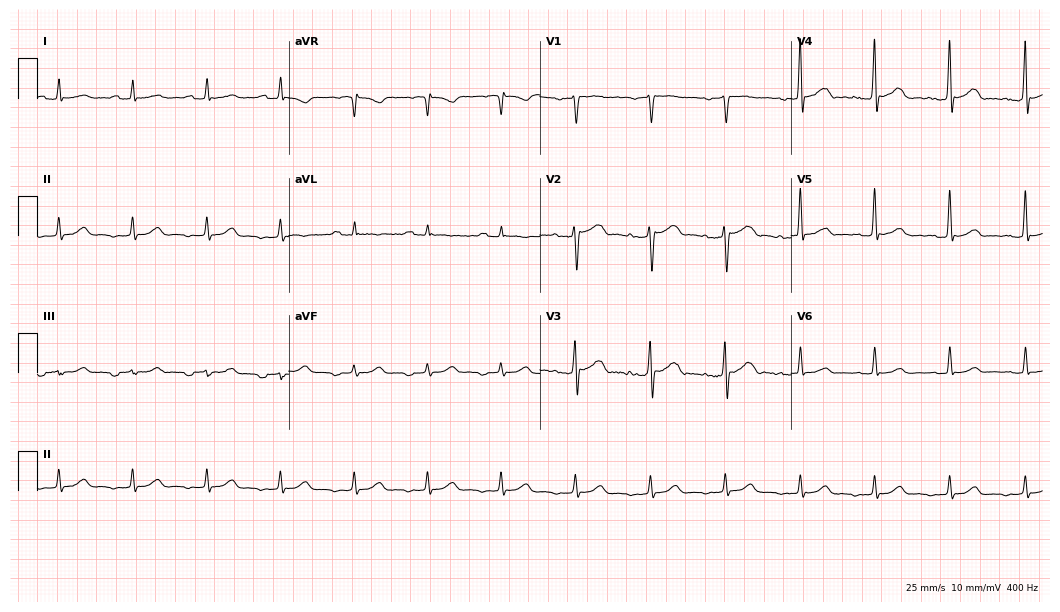
12-lead ECG from a 61-year-old man. Screened for six findings — first-degree AV block, right bundle branch block (RBBB), left bundle branch block (LBBB), sinus bradycardia, atrial fibrillation (AF), sinus tachycardia — none is recorded.